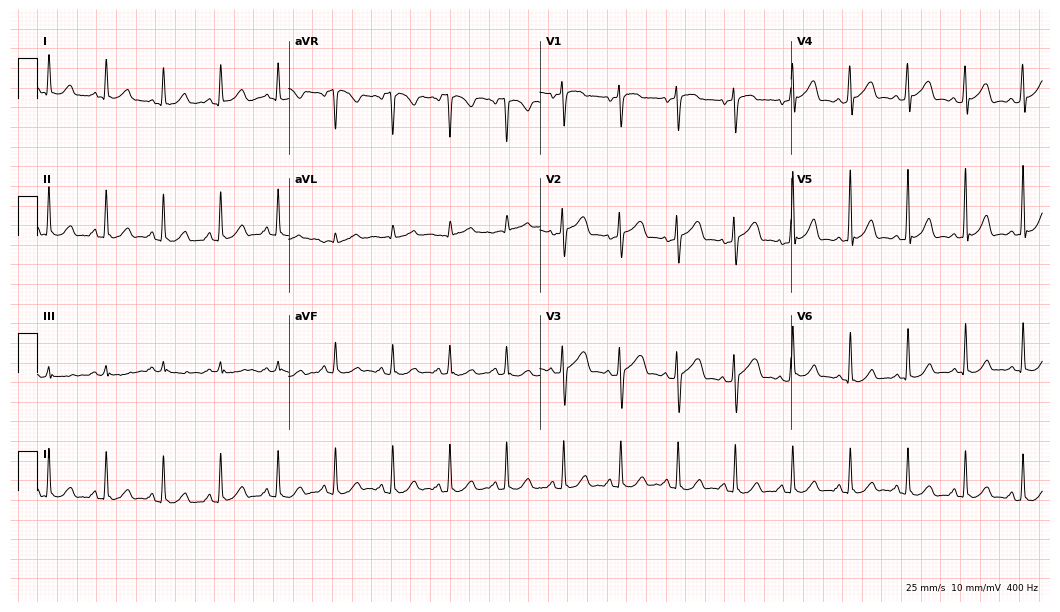
Standard 12-lead ECG recorded from a female, 52 years old. Read as a normal ECG.